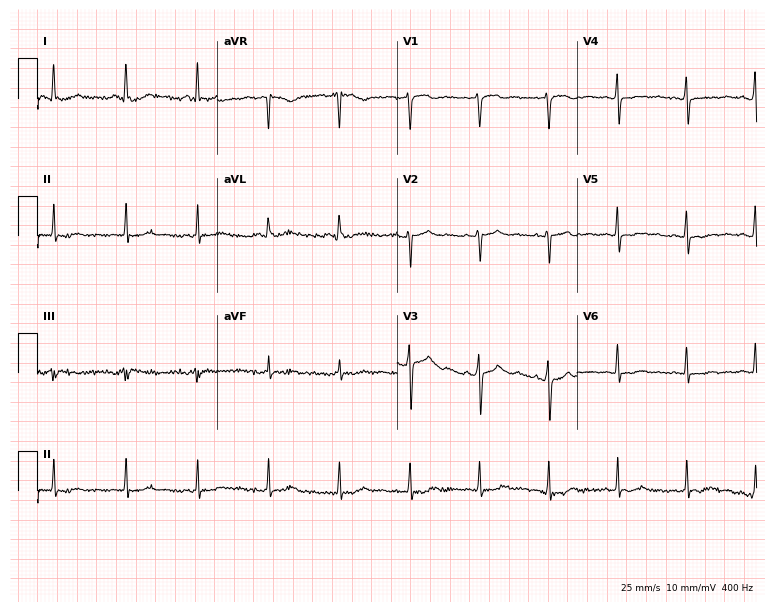
12-lead ECG (7.3-second recording at 400 Hz) from a 61-year-old female patient. Screened for six findings — first-degree AV block, right bundle branch block (RBBB), left bundle branch block (LBBB), sinus bradycardia, atrial fibrillation (AF), sinus tachycardia — none is recorded. Other findings, if any, are not listed.